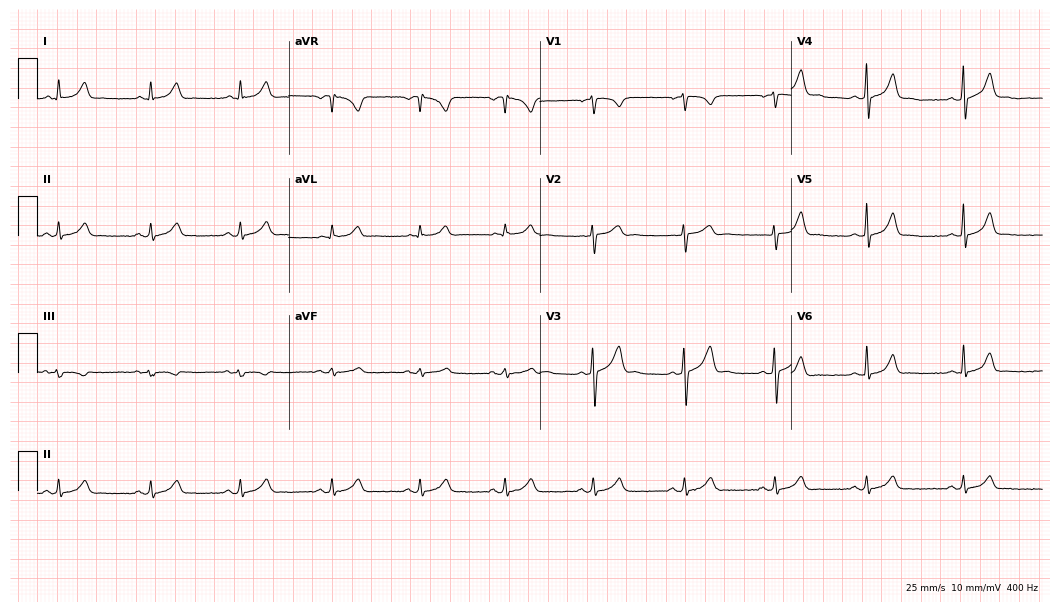
ECG (10.2-second recording at 400 Hz) — a 30-year-old male patient. Screened for six findings — first-degree AV block, right bundle branch block (RBBB), left bundle branch block (LBBB), sinus bradycardia, atrial fibrillation (AF), sinus tachycardia — none is recorded.